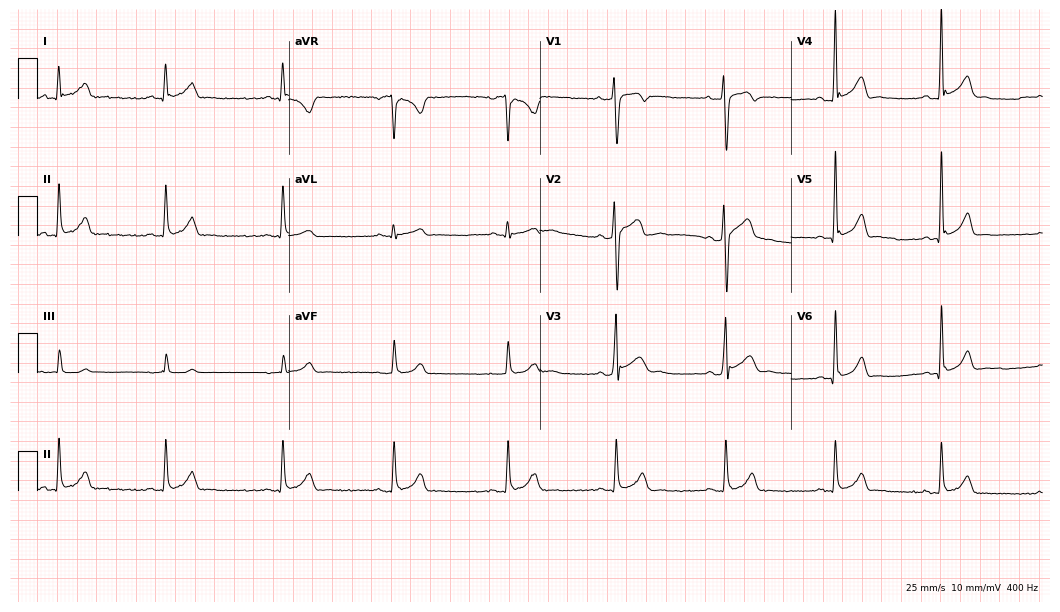
12-lead ECG (10.2-second recording at 400 Hz) from a 26-year-old male patient. Labelled as a normal ECG.